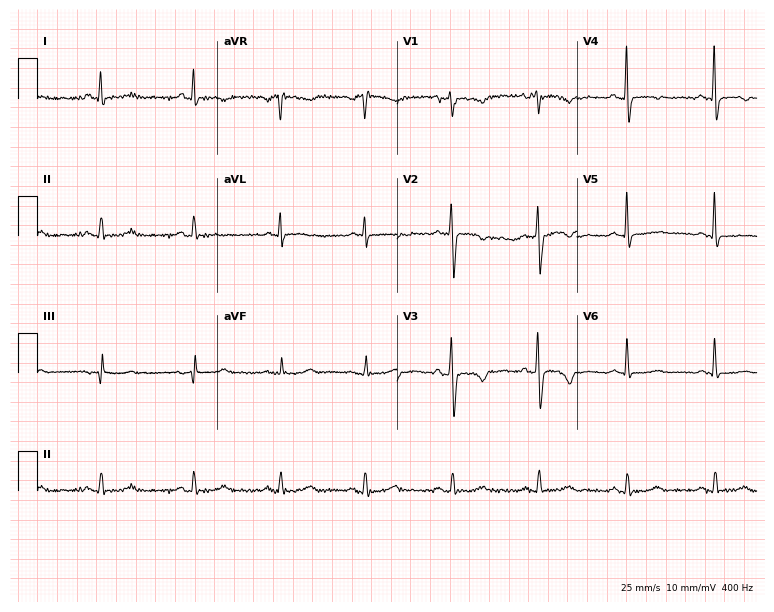
12-lead ECG (7.3-second recording at 400 Hz) from a female, 50 years old. Screened for six findings — first-degree AV block, right bundle branch block, left bundle branch block, sinus bradycardia, atrial fibrillation, sinus tachycardia — none is recorded.